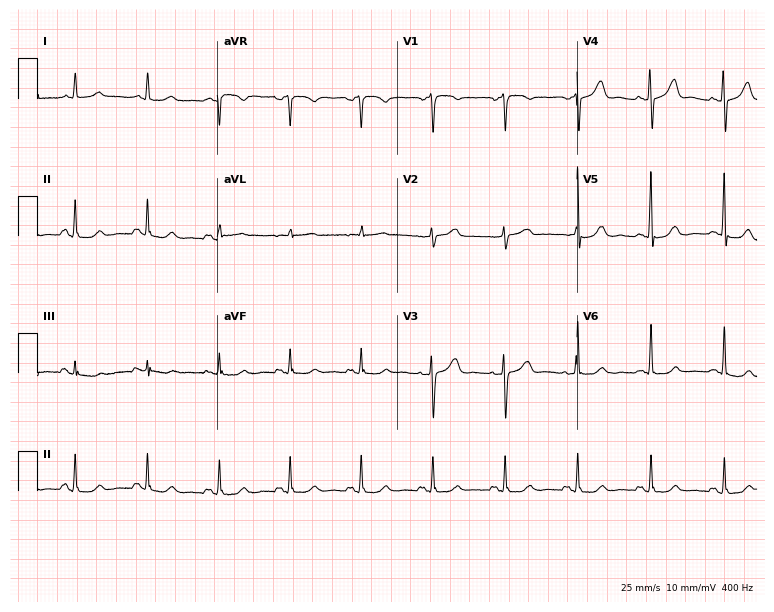
12-lead ECG from a female patient, 62 years old (7.3-second recording at 400 Hz). Recorded interpretation: within normal limits.